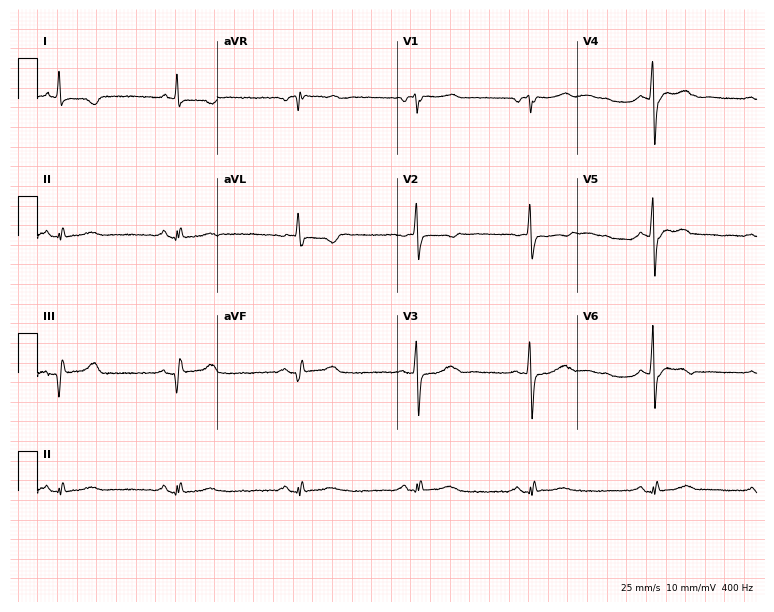
Electrocardiogram, a 65-year-old female patient. Interpretation includes sinus bradycardia (a sinus rate of 50 beats per minute or less).